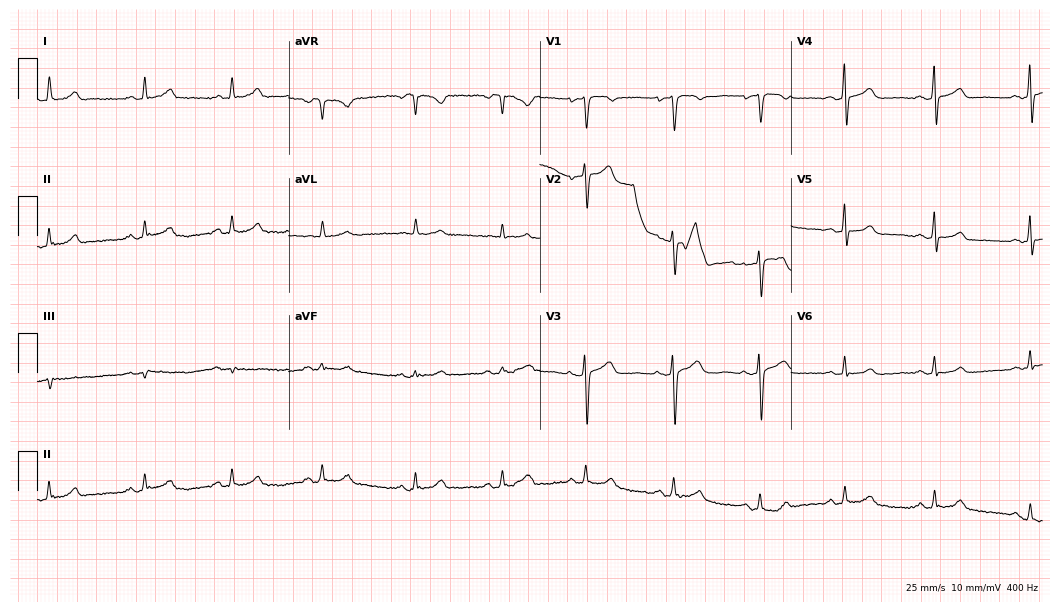
12-lead ECG from a female, 51 years old (10.2-second recording at 400 Hz). No first-degree AV block, right bundle branch block (RBBB), left bundle branch block (LBBB), sinus bradycardia, atrial fibrillation (AF) or sinus tachycardia recorded for this tracing. Only these six findings were labelled.